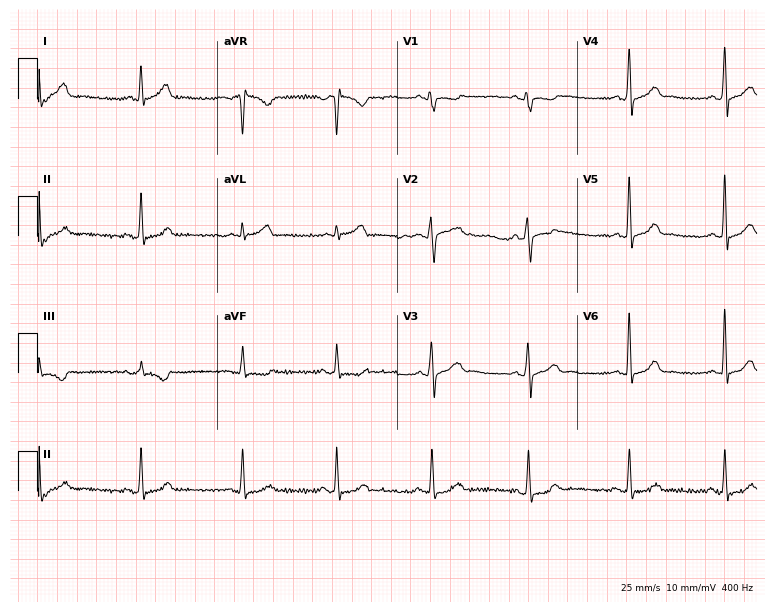
Resting 12-lead electrocardiogram. Patient: a woman, 38 years old. Read as a normal ECG.